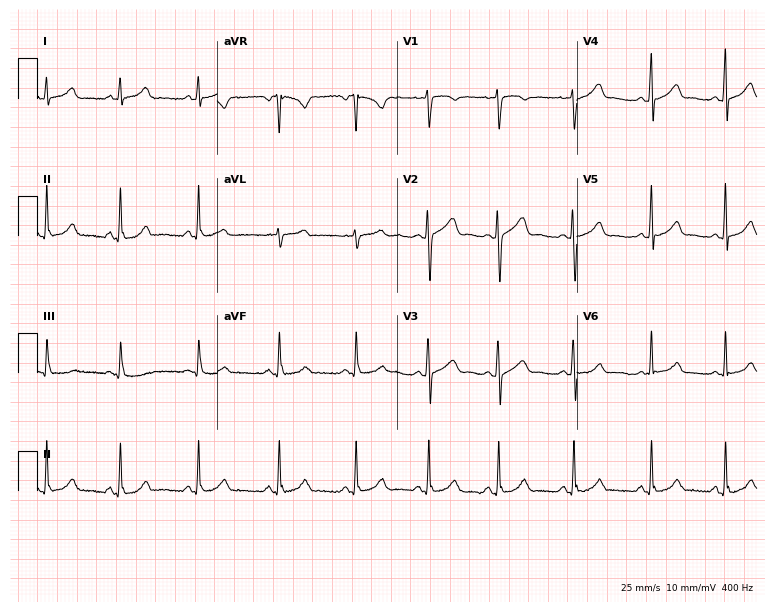
Resting 12-lead electrocardiogram. Patient: a female, 20 years old. None of these six findings is recorded: first-degree AV block, right bundle branch block, left bundle branch block, sinus bradycardia, atrial fibrillation, sinus tachycardia.